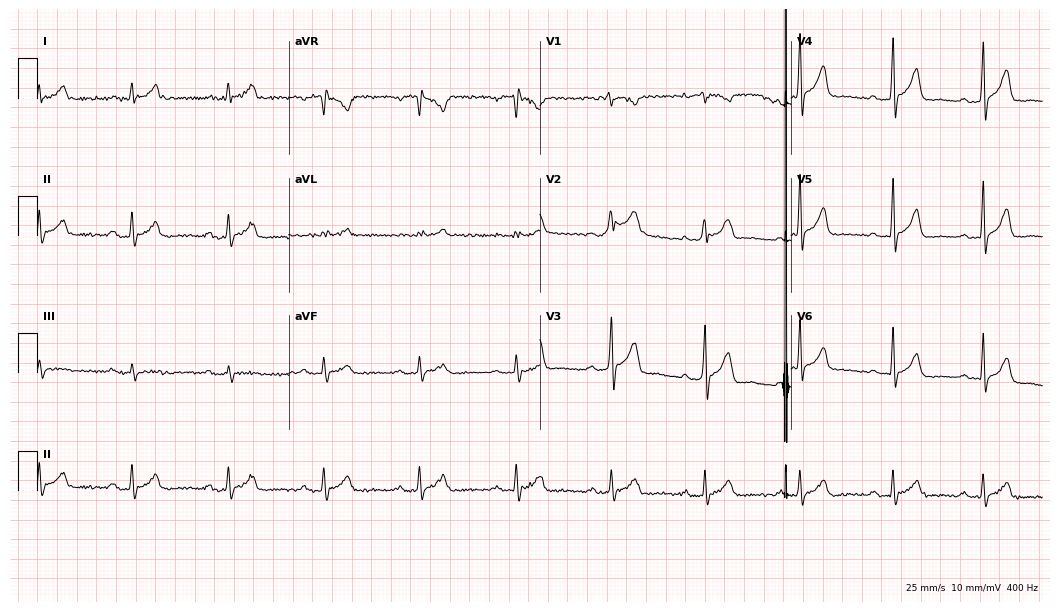
Standard 12-lead ECG recorded from a man, 37 years old. None of these six findings is recorded: first-degree AV block, right bundle branch block, left bundle branch block, sinus bradycardia, atrial fibrillation, sinus tachycardia. Only these six findings were labelled.